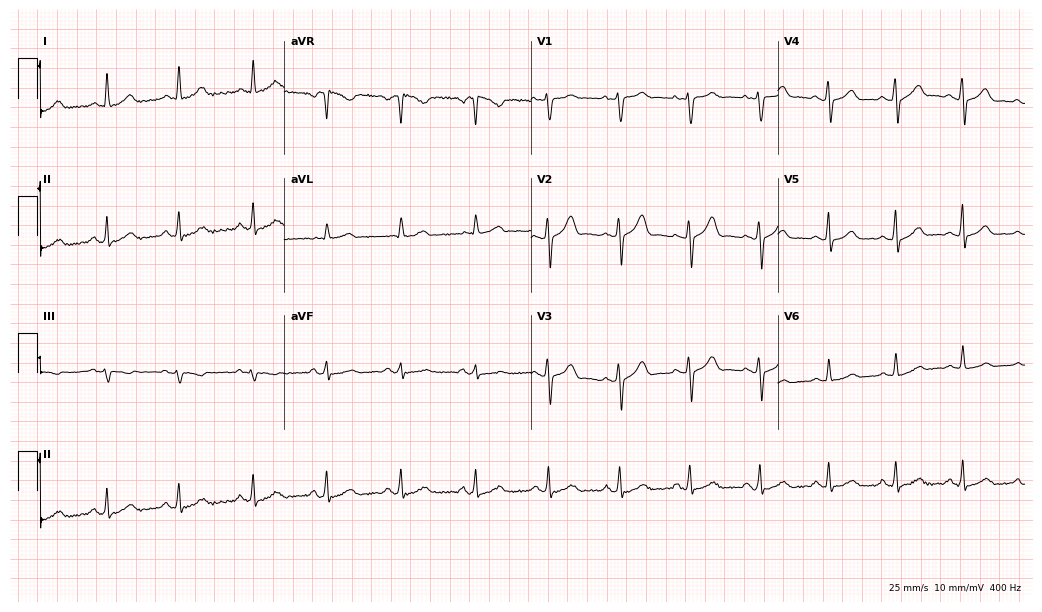
Resting 12-lead electrocardiogram (10.1-second recording at 400 Hz). Patient: a female, 47 years old. Read as a normal ECG.